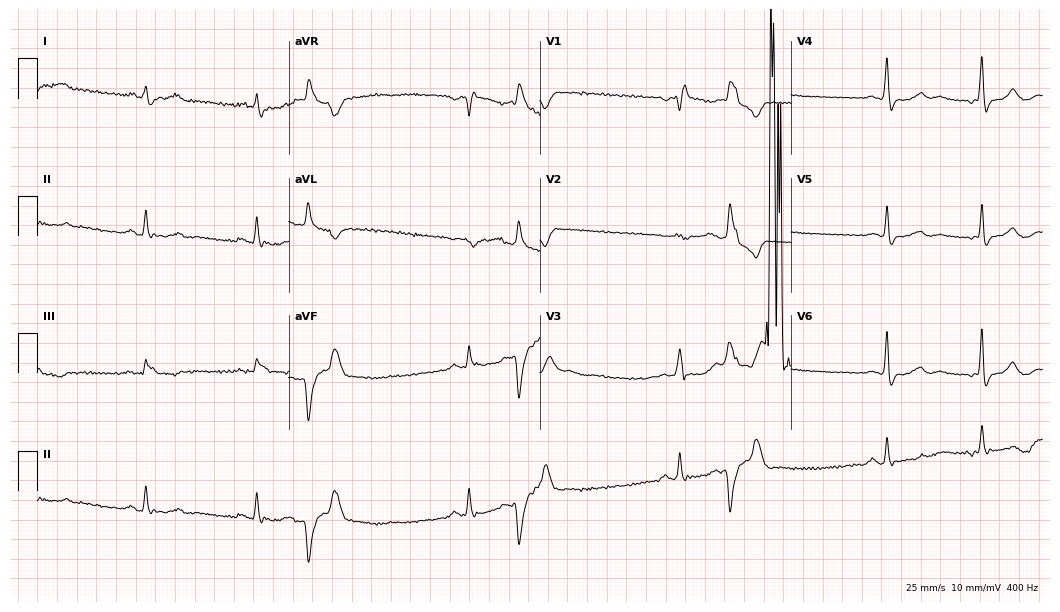
Standard 12-lead ECG recorded from an 80-year-old male patient. None of these six findings is recorded: first-degree AV block, right bundle branch block, left bundle branch block, sinus bradycardia, atrial fibrillation, sinus tachycardia.